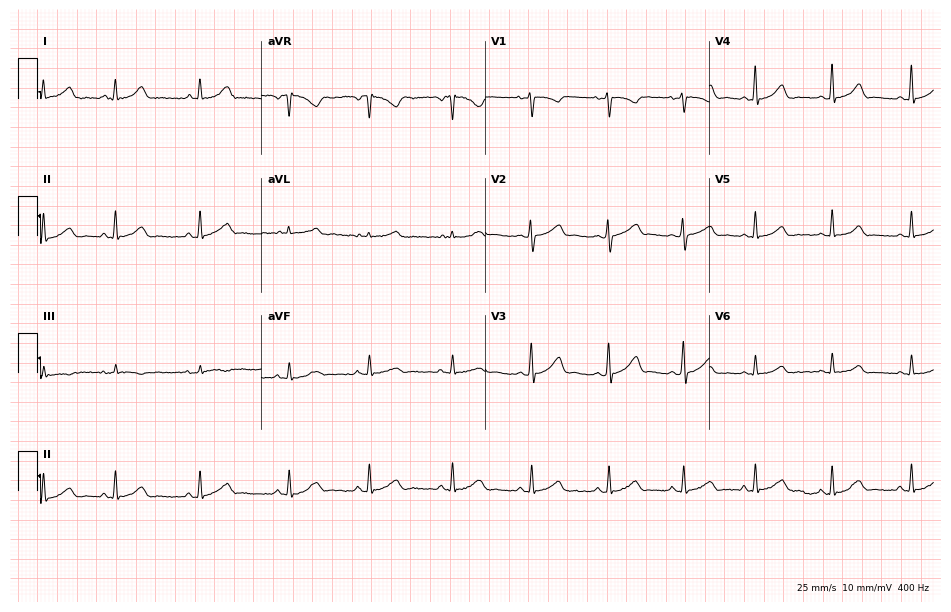
Resting 12-lead electrocardiogram (9.1-second recording at 400 Hz). Patient: a female, 31 years old. Read as a normal ECG.